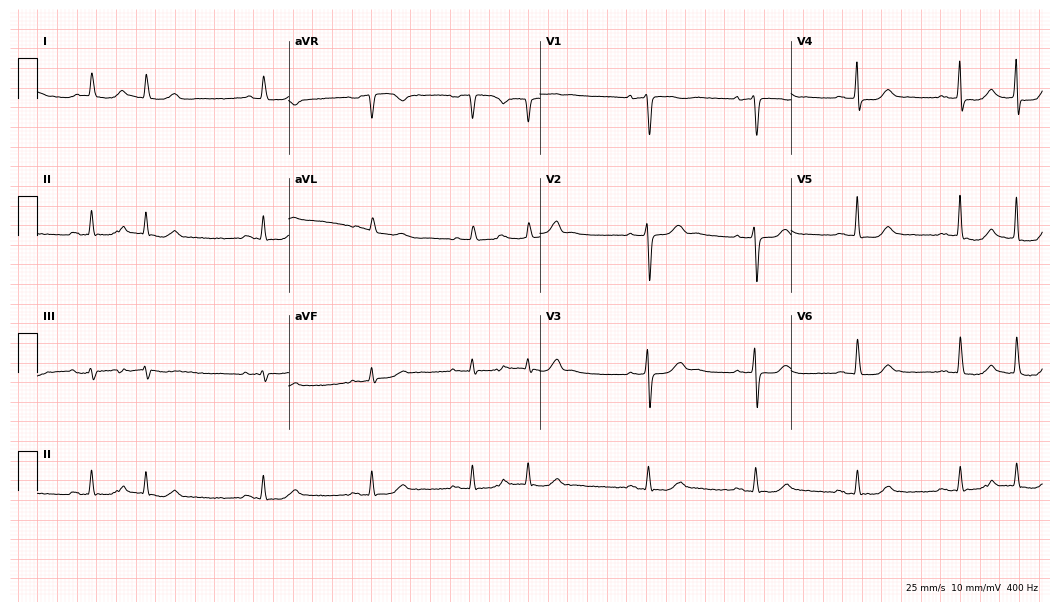
12-lead ECG (10.2-second recording at 400 Hz) from a 79-year-old female patient. Screened for six findings — first-degree AV block, right bundle branch block, left bundle branch block, sinus bradycardia, atrial fibrillation, sinus tachycardia — none is recorded. Findings outside these six are not listed.